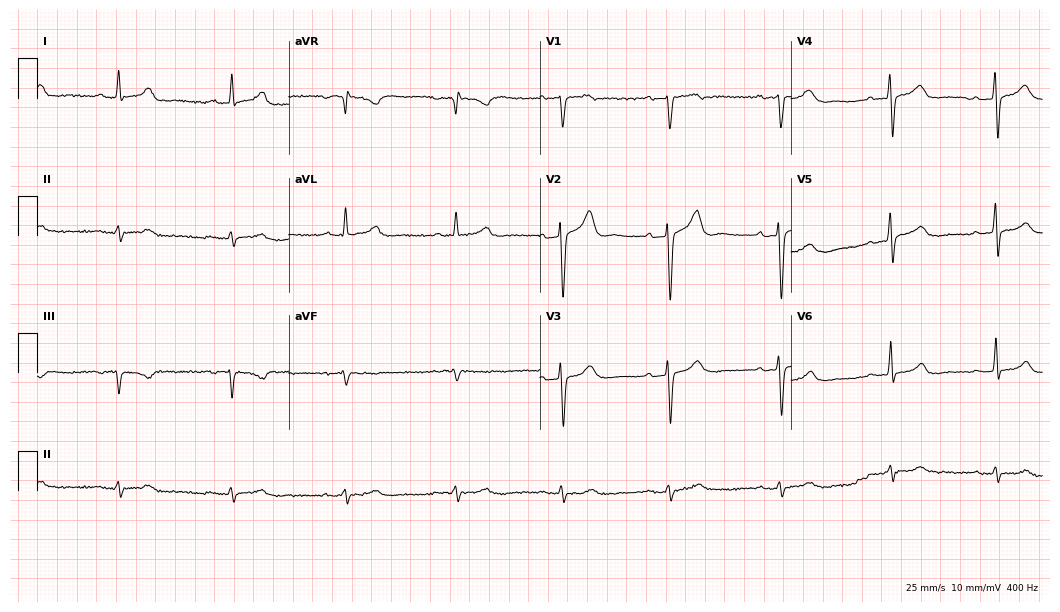
12-lead ECG (10.2-second recording at 400 Hz) from a 60-year-old male. Screened for six findings — first-degree AV block, right bundle branch block (RBBB), left bundle branch block (LBBB), sinus bradycardia, atrial fibrillation (AF), sinus tachycardia — none is recorded. Findings outside these six are not listed.